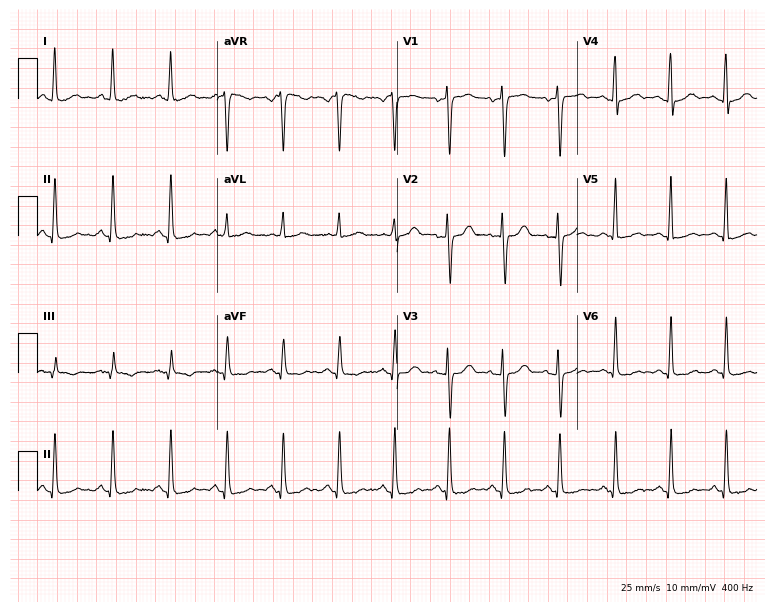
12-lead ECG from a woman, 38 years old (7.3-second recording at 400 Hz). Shows sinus tachycardia (a sinus rate of 100 beats per minute or more).